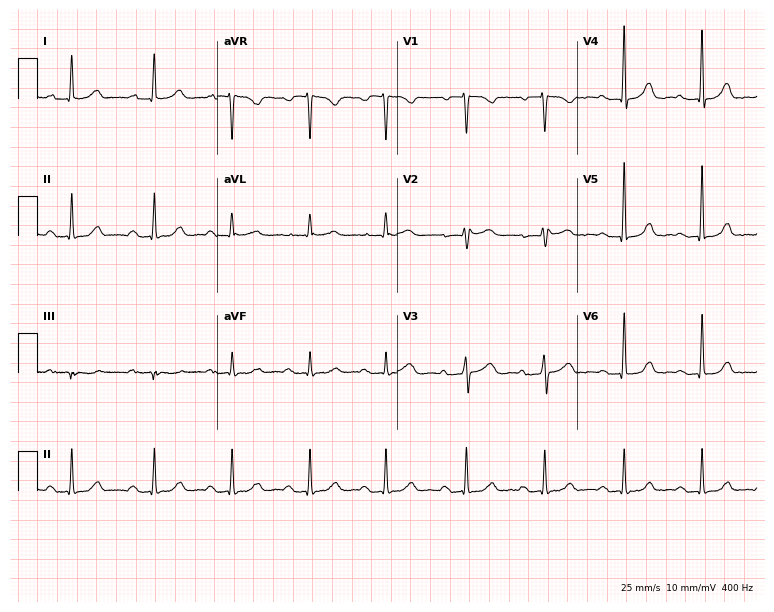
ECG — a 58-year-old female patient. Findings include first-degree AV block.